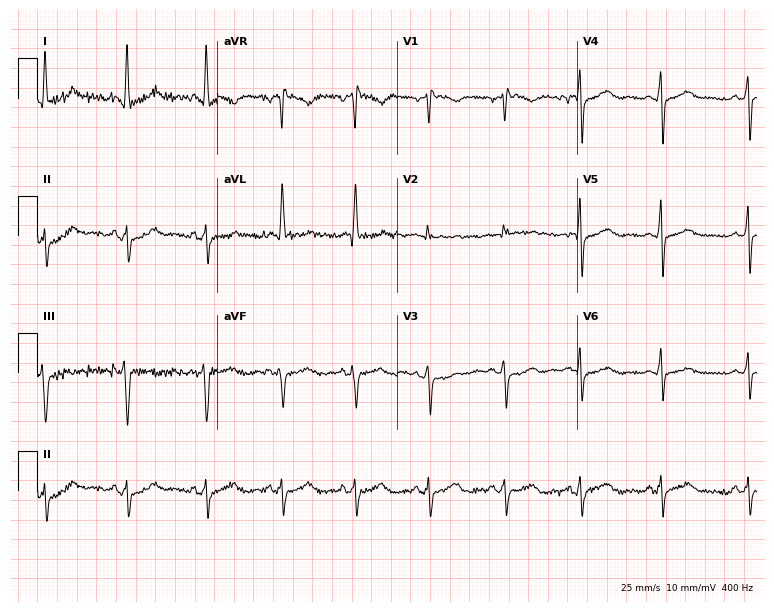
ECG (7.3-second recording at 400 Hz) — a female, 44 years old. Screened for six findings — first-degree AV block, right bundle branch block, left bundle branch block, sinus bradycardia, atrial fibrillation, sinus tachycardia — none is recorded.